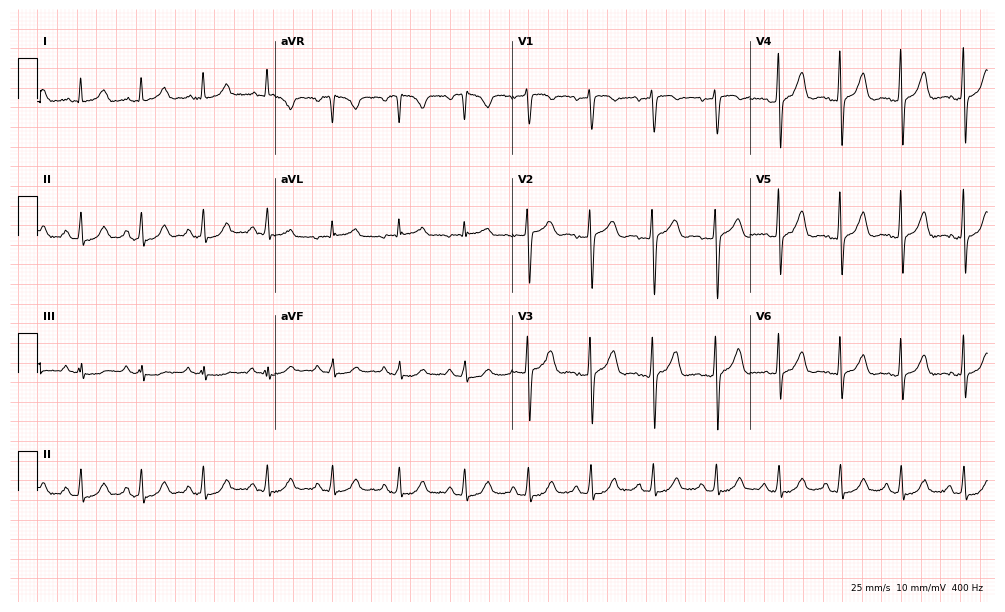
12-lead ECG (9.7-second recording at 400 Hz) from a 42-year-old woman. Labelled as a normal ECG.